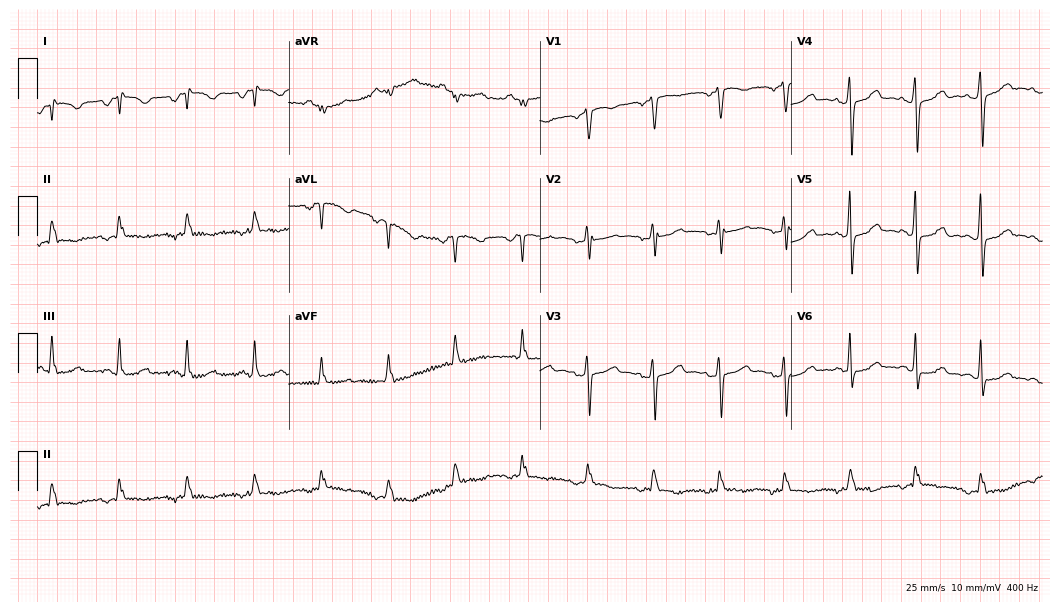
12-lead ECG (10.2-second recording at 400 Hz) from a female patient, 51 years old. Screened for six findings — first-degree AV block, right bundle branch block, left bundle branch block, sinus bradycardia, atrial fibrillation, sinus tachycardia — none is recorded. Findings outside these six are not listed.